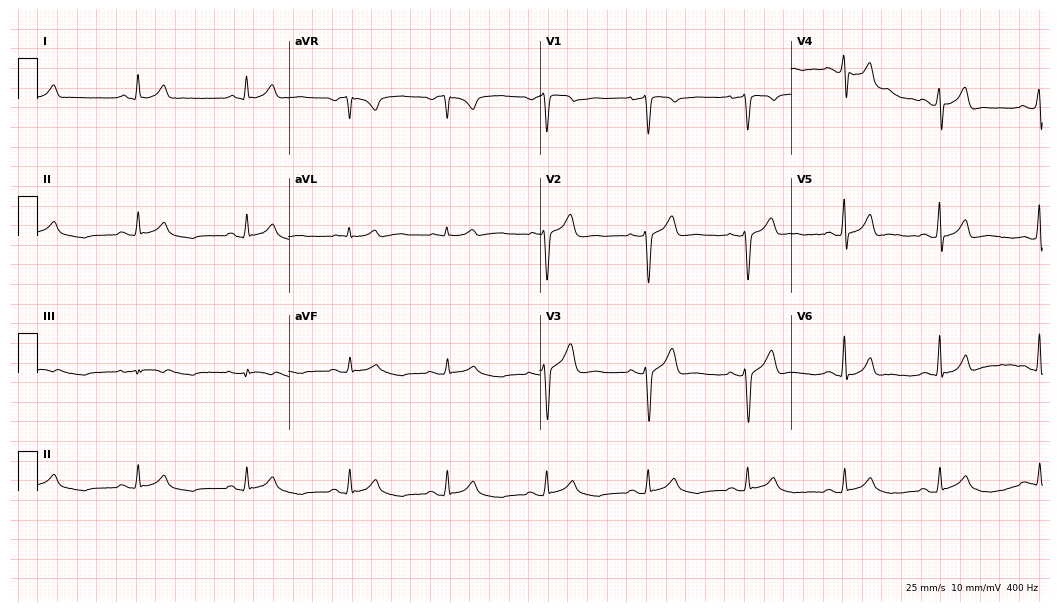
Standard 12-lead ECG recorded from a man, 44 years old. Read as a normal ECG.